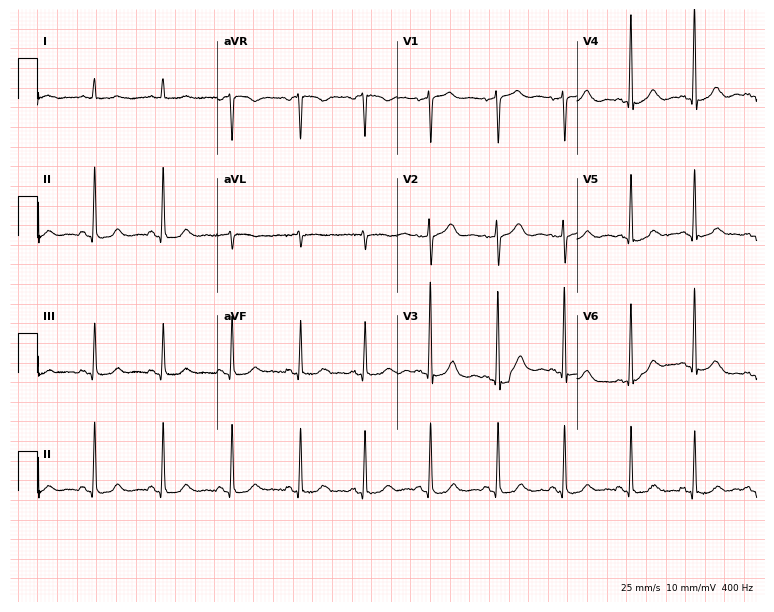
12-lead ECG (7.3-second recording at 400 Hz) from a female patient, 62 years old. Labelled as a normal ECG.